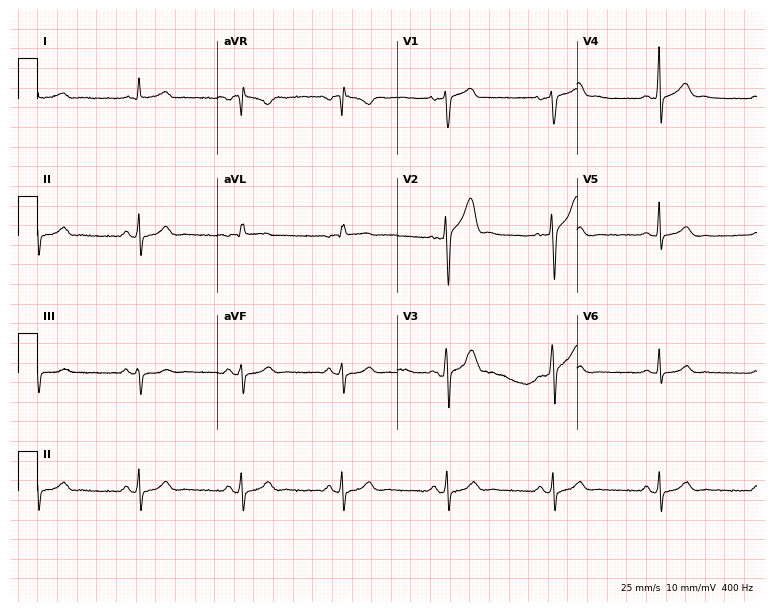
12-lead ECG from a 52-year-old man (7.3-second recording at 400 Hz). No first-degree AV block, right bundle branch block, left bundle branch block, sinus bradycardia, atrial fibrillation or sinus tachycardia recorded for this tracing.